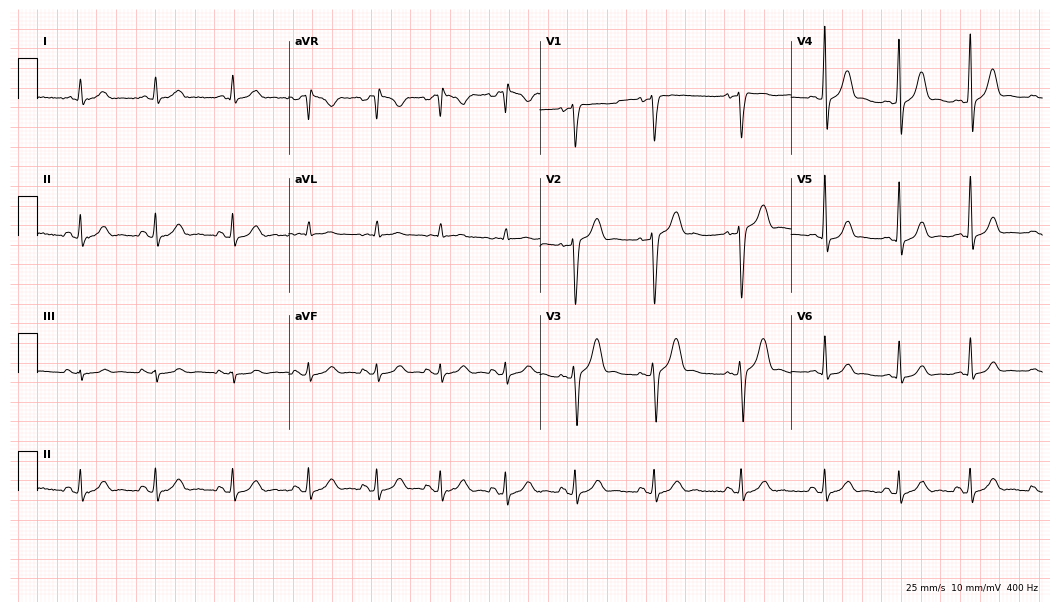
Electrocardiogram (10.2-second recording at 400 Hz), a man, 34 years old. Overall reading on record: normal ECG.